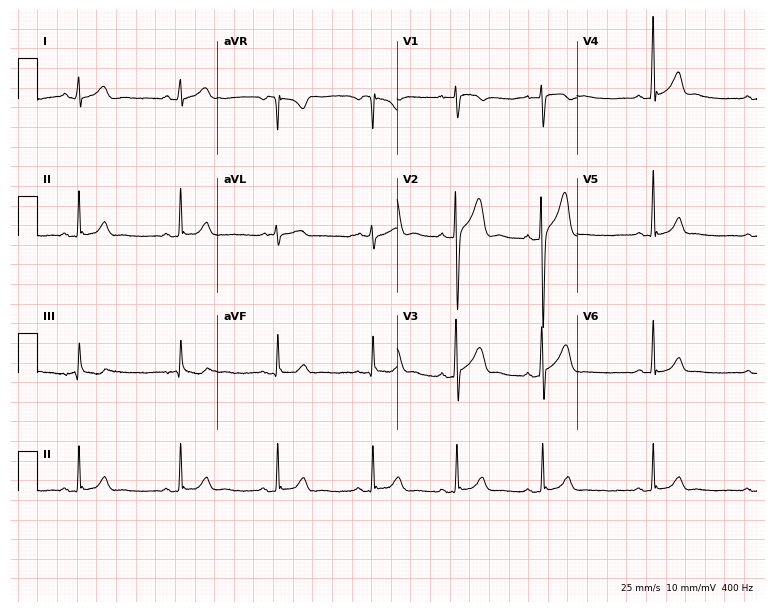
Standard 12-lead ECG recorded from a 24-year-old male. None of these six findings is recorded: first-degree AV block, right bundle branch block (RBBB), left bundle branch block (LBBB), sinus bradycardia, atrial fibrillation (AF), sinus tachycardia.